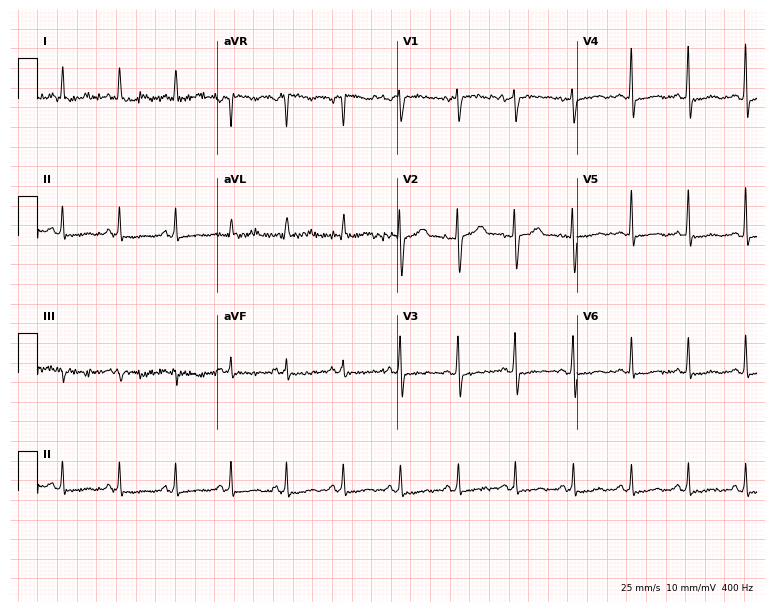
Resting 12-lead electrocardiogram. Patient: a woman, 33 years old. The tracing shows sinus tachycardia (a sinus rate of 100 beats per minute or more).